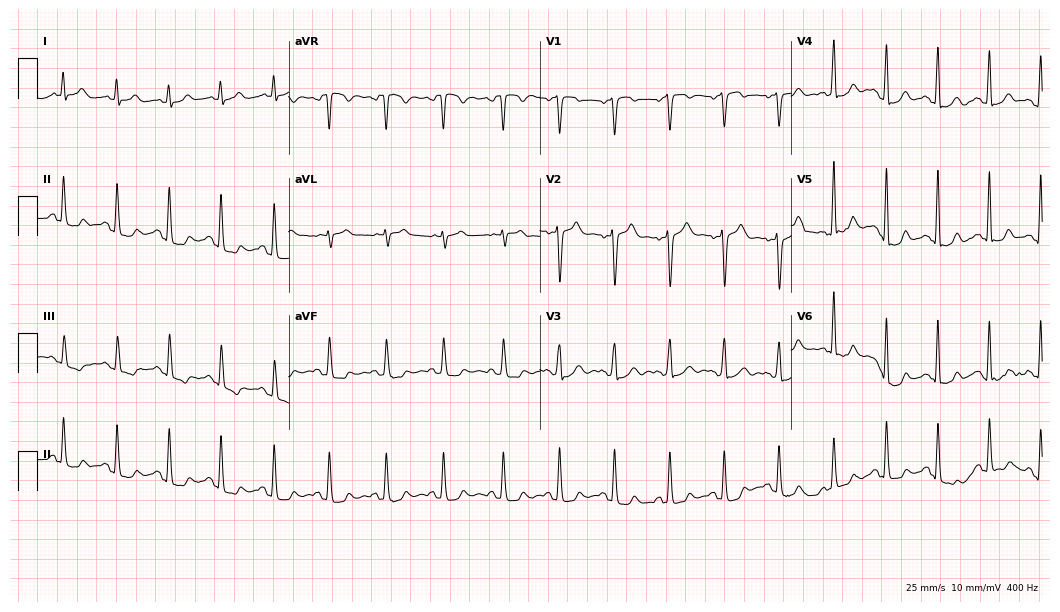
Standard 12-lead ECG recorded from a woman, 37 years old (10.2-second recording at 400 Hz). The tracing shows sinus tachycardia (a sinus rate of 100 beats per minute or more).